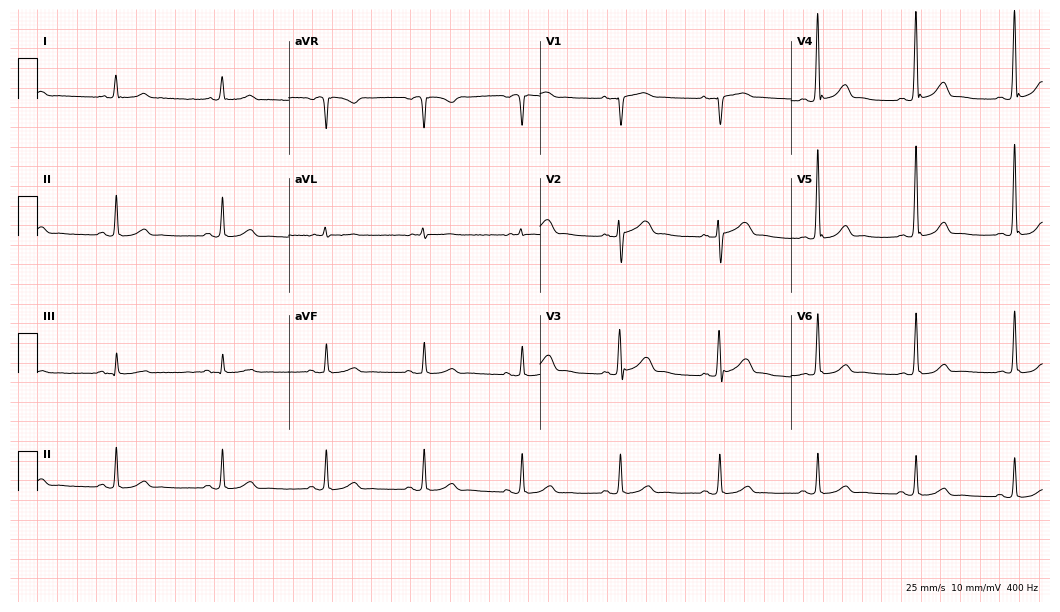
Standard 12-lead ECG recorded from a male, 55 years old. Read as a normal ECG.